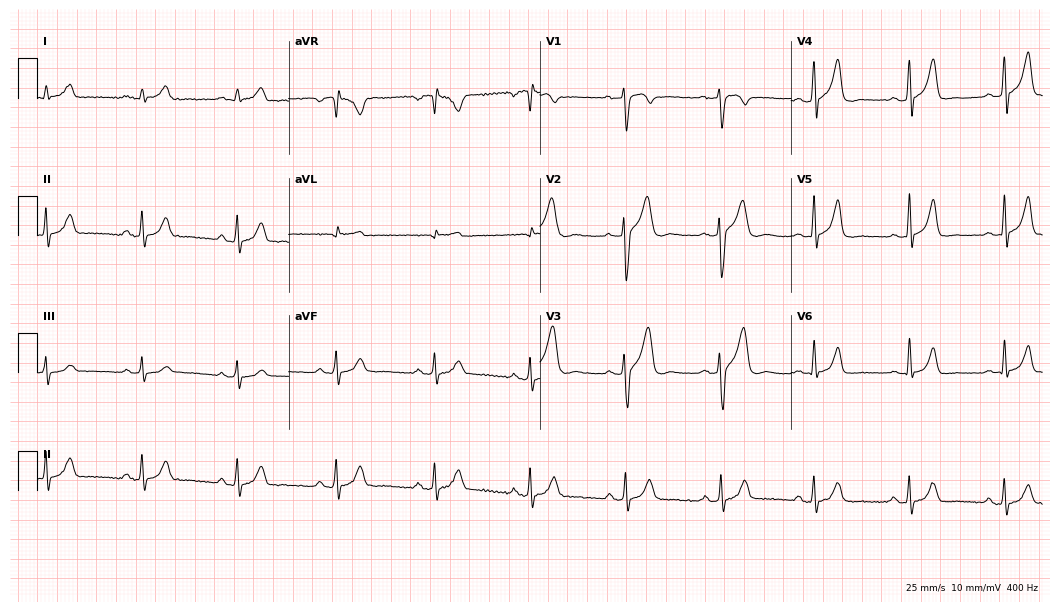
Electrocardiogram (10.2-second recording at 400 Hz), a 43-year-old male patient. Overall reading on record: normal ECG.